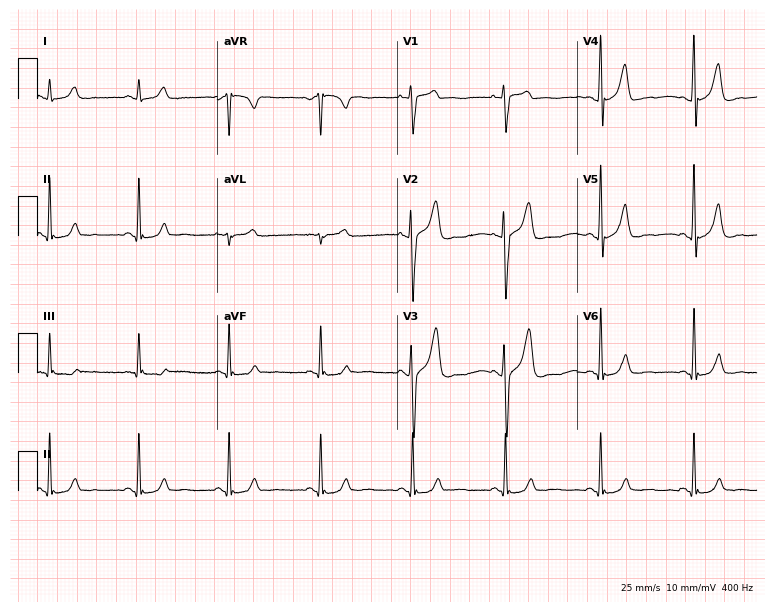
12-lead ECG from a man, 38 years old (7.3-second recording at 400 Hz). Recorded interpretation: within normal limits.